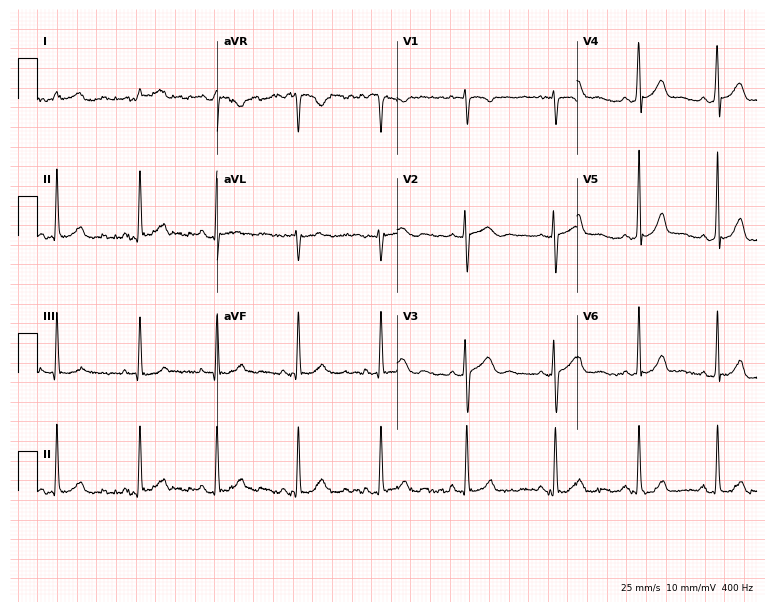
ECG — a 17-year-old female patient. Labelled as a normal ECG.